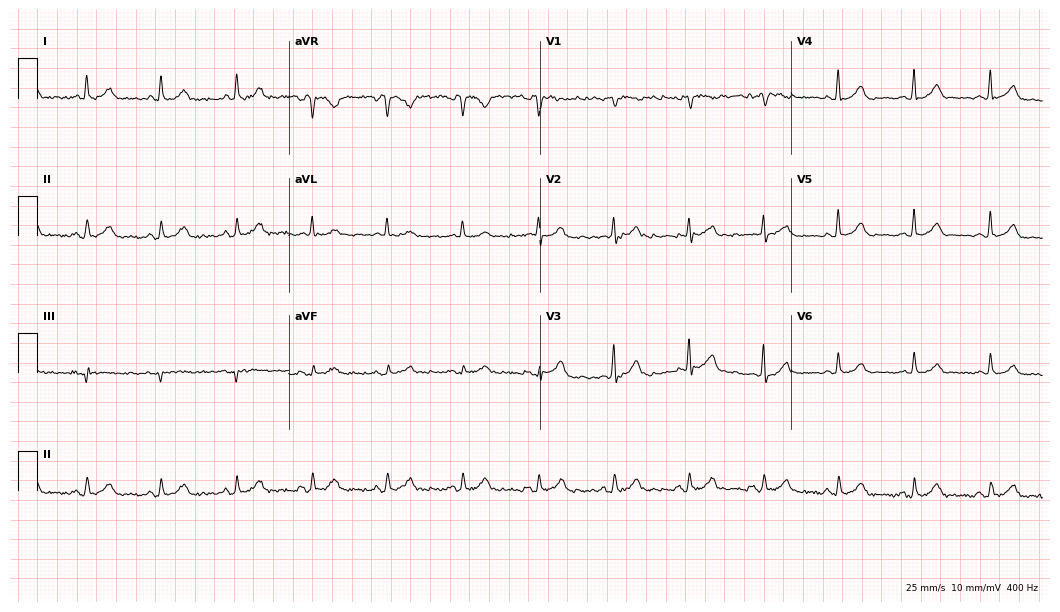
Standard 12-lead ECG recorded from a 65-year-old female. Read as a normal ECG.